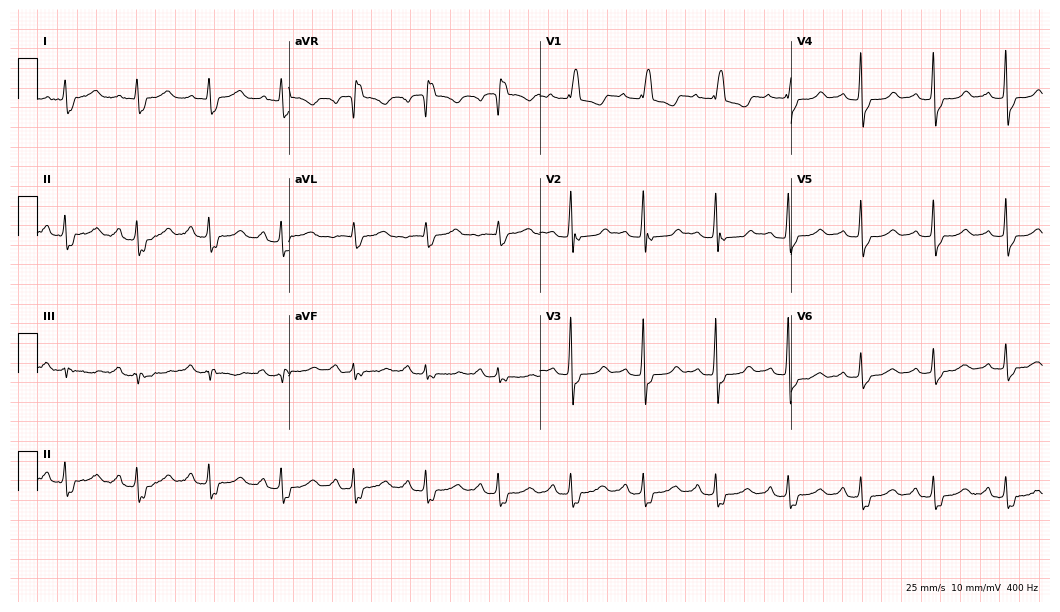
ECG — a 65-year-old woman. Screened for six findings — first-degree AV block, right bundle branch block, left bundle branch block, sinus bradycardia, atrial fibrillation, sinus tachycardia — none is recorded.